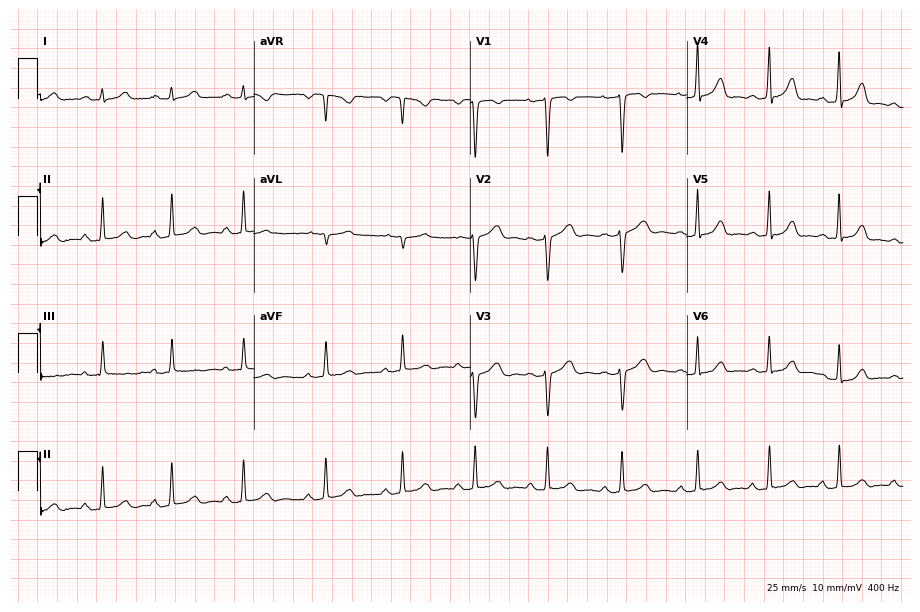
Standard 12-lead ECG recorded from a female, 25 years old (8.8-second recording at 400 Hz). None of these six findings is recorded: first-degree AV block, right bundle branch block, left bundle branch block, sinus bradycardia, atrial fibrillation, sinus tachycardia.